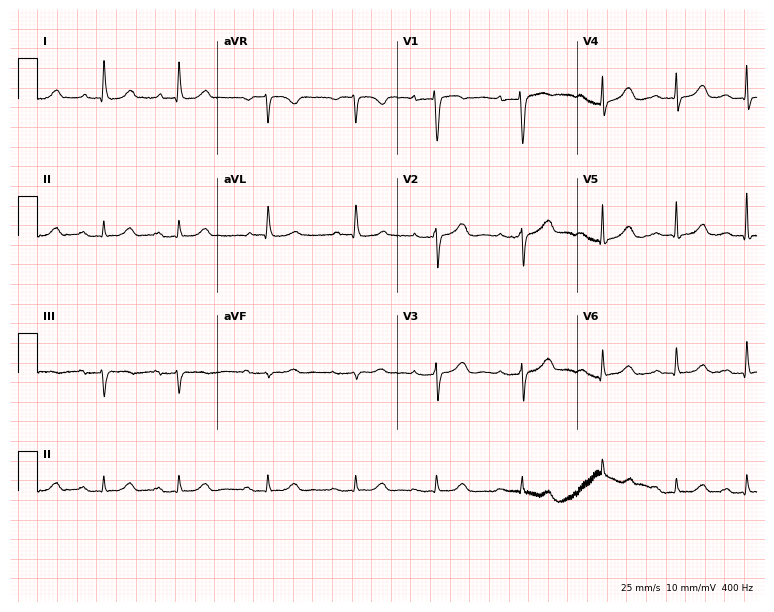
12-lead ECG from a female patient, 74 years old. Labelled as a normal ECG.